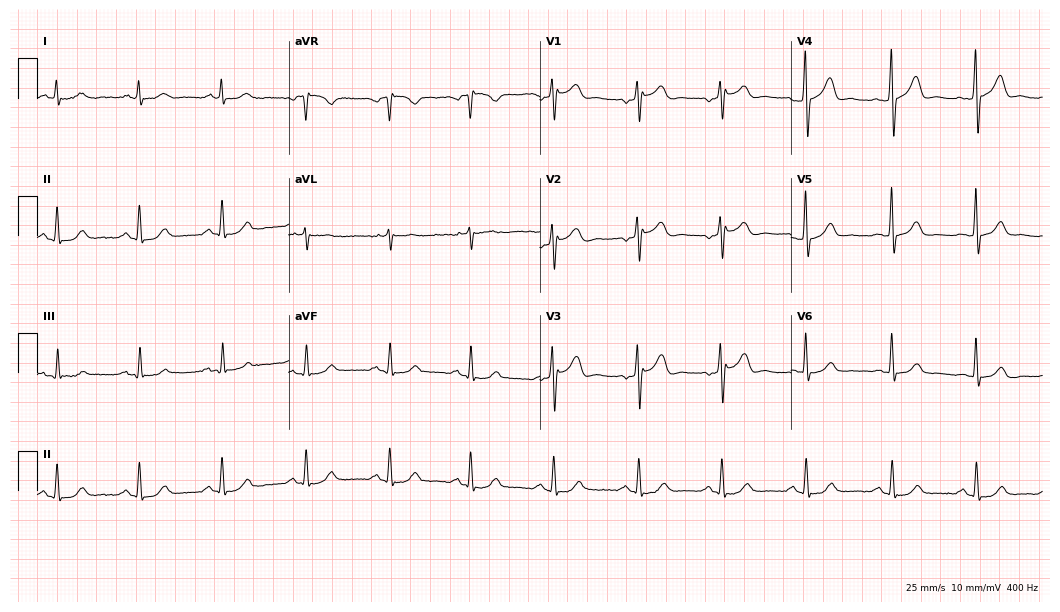
12-lead ECG from a 53-year-old man (10.2-second recording at 400 Hz). No first-degree AV block, right bundle branch block (RBBB), left bundle branch block (LBBB), sinus bradycardia, atrial fibrillation (AF) or sinus tachycardia recorded for this tracing. Other findings, if any, are not listed.